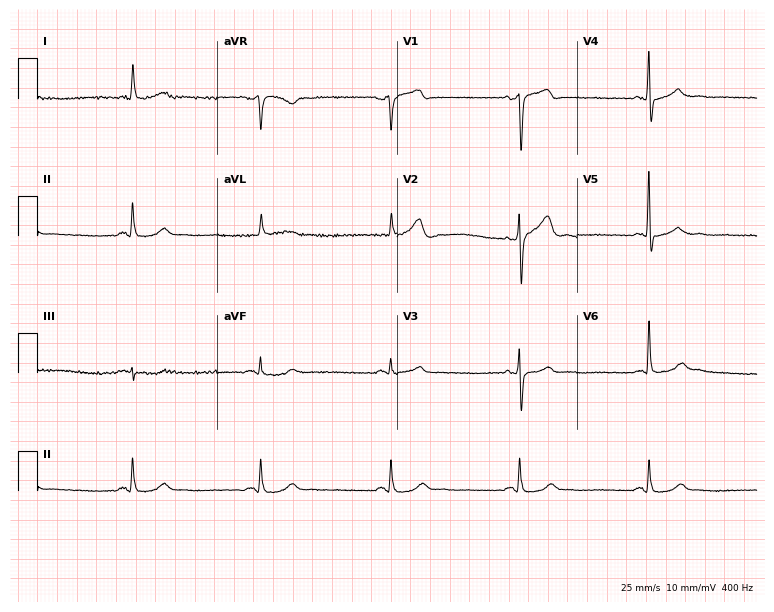
ECG — a 71-year-old female. Findings include sinus bradycardia (a sinus rate of 50 beats per minute or less).